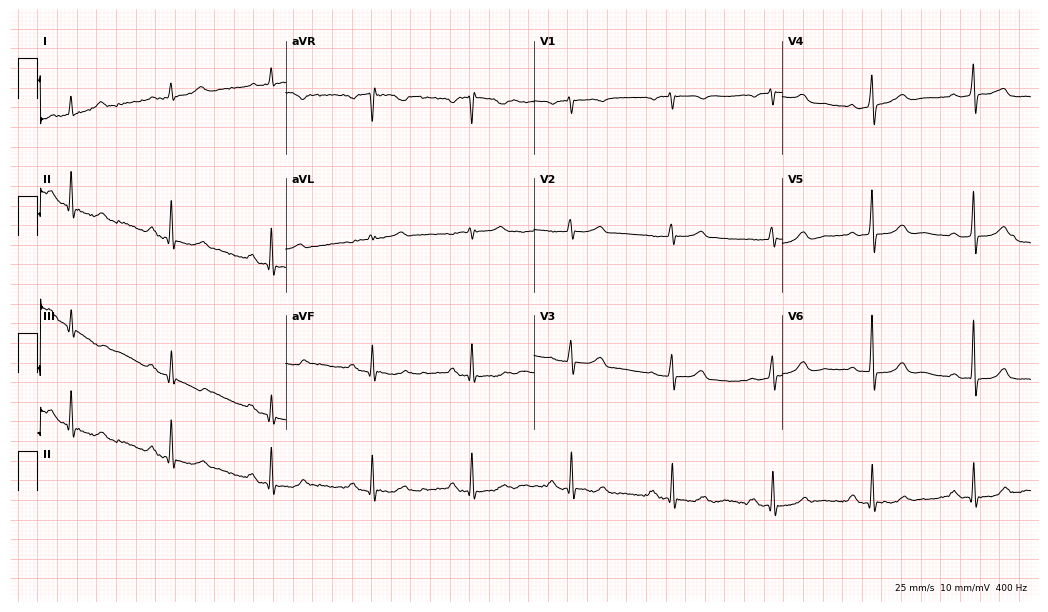
12-lead ECG from a 70-year-old man (10.1-second recording at 400 Hz). No first-degree AV block, right bundle branch block (RBBB), left bundle branch block (LBBB), sinus bradycardia, atrial fibrillation (AF) or sinus tachycardia recorded for this tracing. Other findings, if any, are not listed.